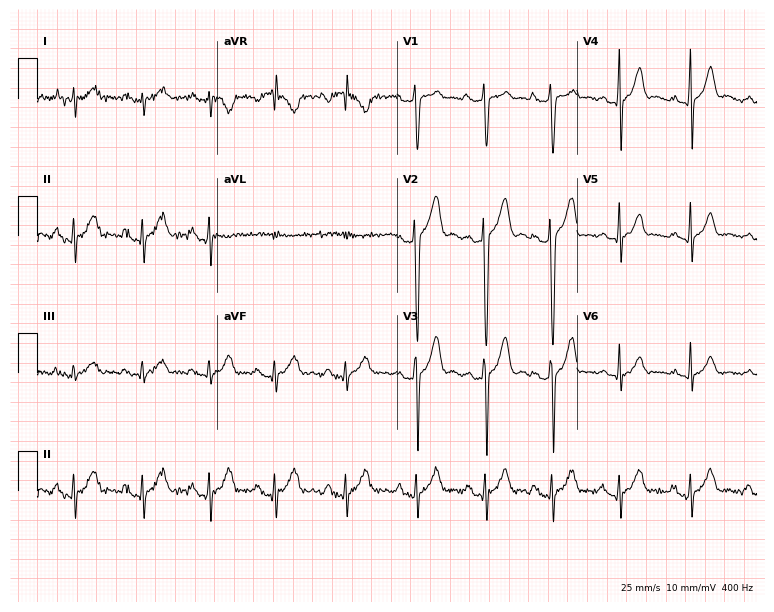
Electrocardiogram (7.3-second recording at 400 Hz), a man, 32 years old. Of the six screened findings (first-degree AV block, right bundle branch block (RBBB), left bundle branch block (LBBB), sinus bradycardia, atrial fibrillation (AF), sinus tachycardia), none is recorded.